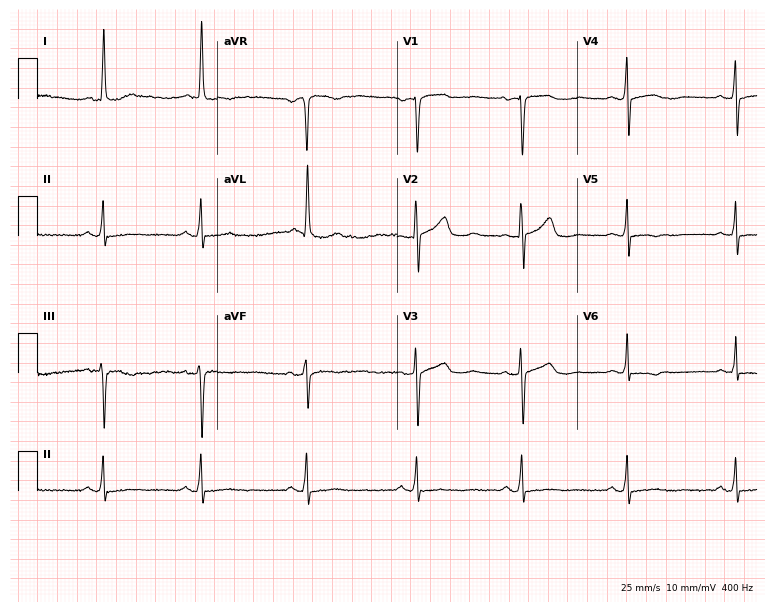
ECG — a female patient, 68 years old. Screened for six findings — first-degree AV block, right bundle branch block, left bundle branch block, sinus bradycardia, atrial fibrillation, sinus tachycardia — none is recorded. Only these six findings were labelled.